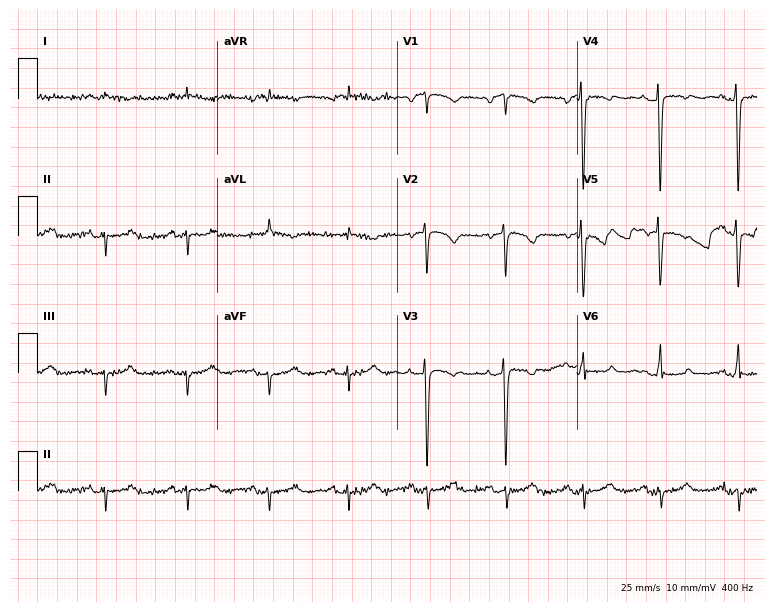
Resting 12-lead electrocardiogram (7.3-second recording at 400 Hz). Patient: an 80-year-old woman. None of these six findings is recorded: first-degree AV block, right bundle branch block, left bundle branch block, sinus bradycardia, atrial fibrillation, sinus tachycardia.